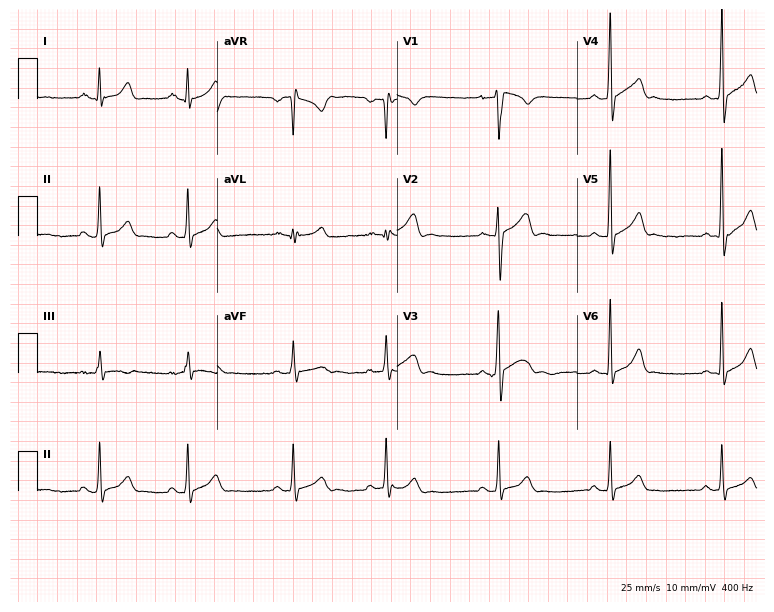
12-lead ECG from a 22-year-old man (7.3-second recording at 400 Hz). Recorded interpretation: within normal limits.